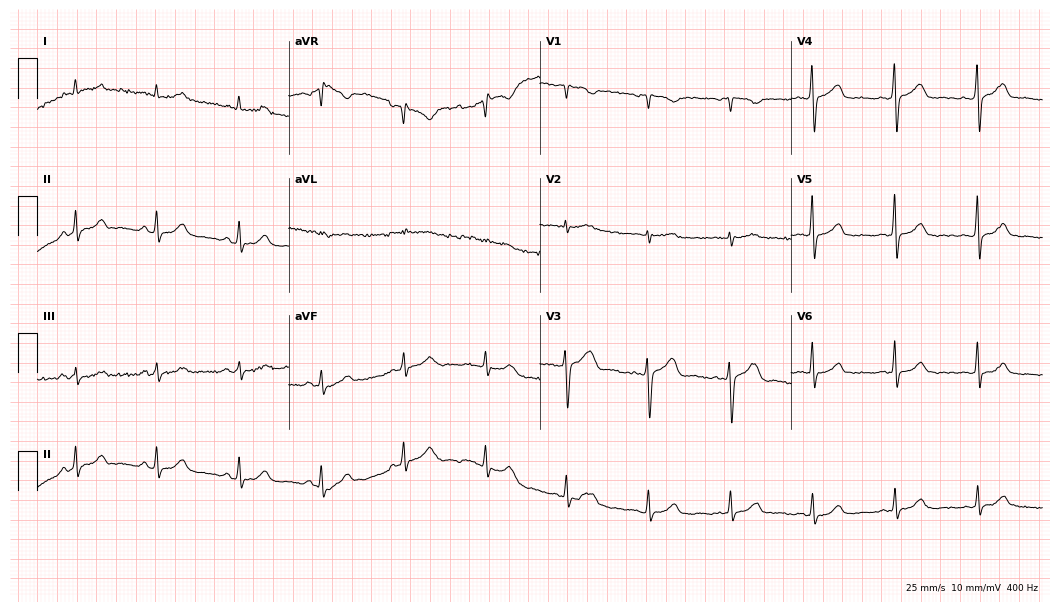
12-lead ECG from a female, 39 years old. Recorded interpretation: within normal limits.